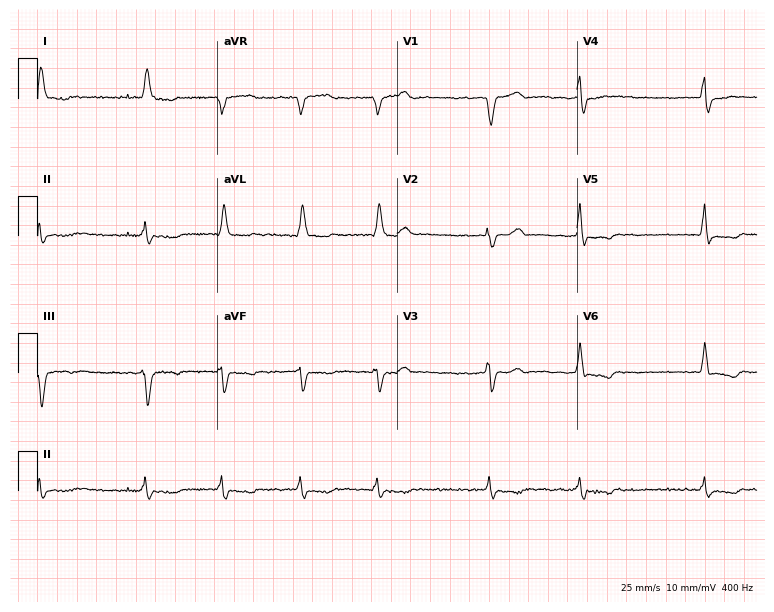
12-lead ECG from a 75-year-old male (7.3-second recording at 400 Hz). Shows left bundle branch block, atrial fibrillation.